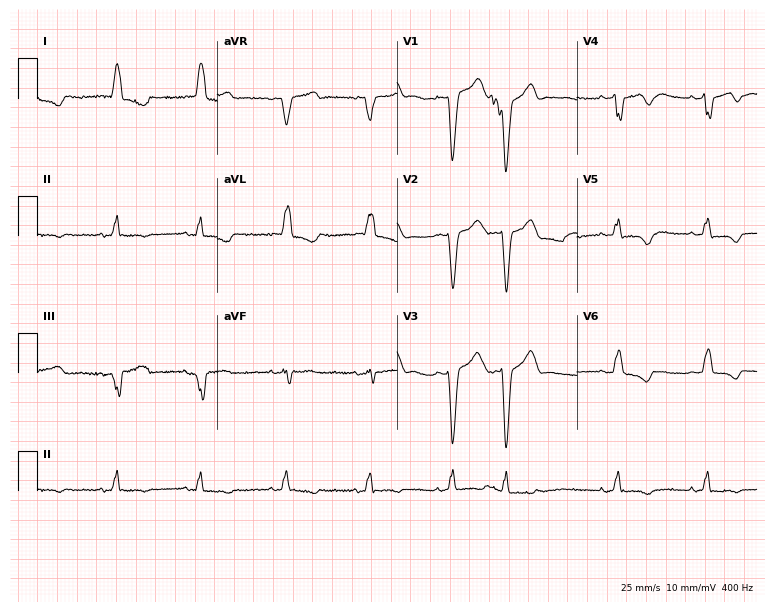
12-lead ECG from a woman, 83 years old. Shows left bundle branch block (LBBB).